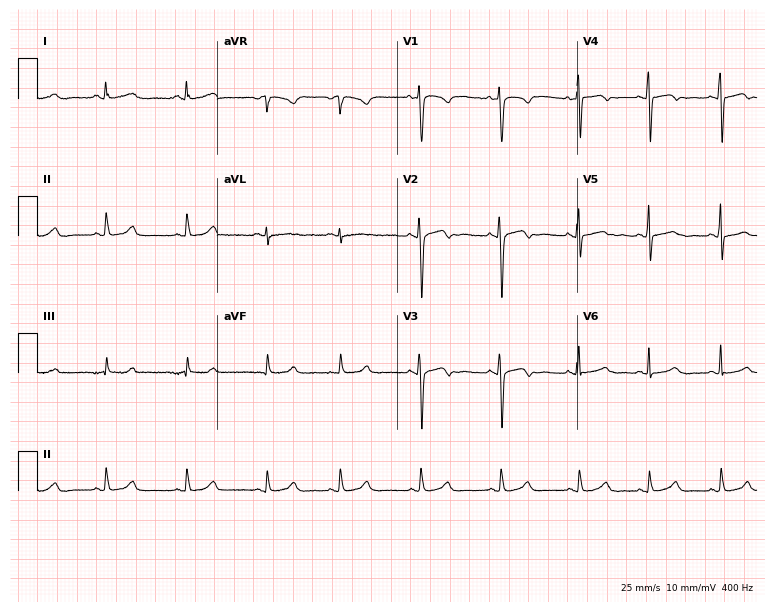
Standard 12-lead ECG recorded from a 25-year-old female patient. Read as a normal ECG.